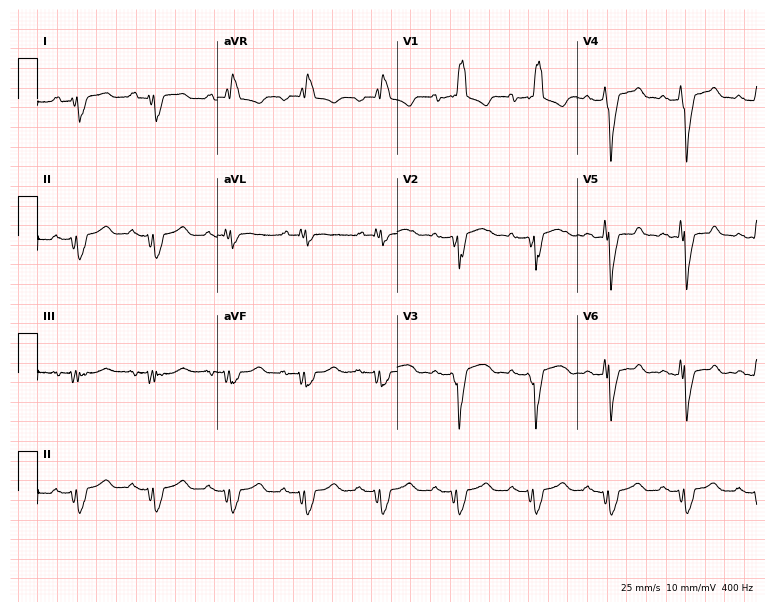
Electrocardiogram, a male, 34 years old. Of the six screened findings (first-degree AV block, right bundle branch block (RBBB), left bundle branch block (LBBB), sinus bradycardia, atrial fibrillation (AF), sinus tachycardia), none is recorded. Other findings, if any, are not listed.